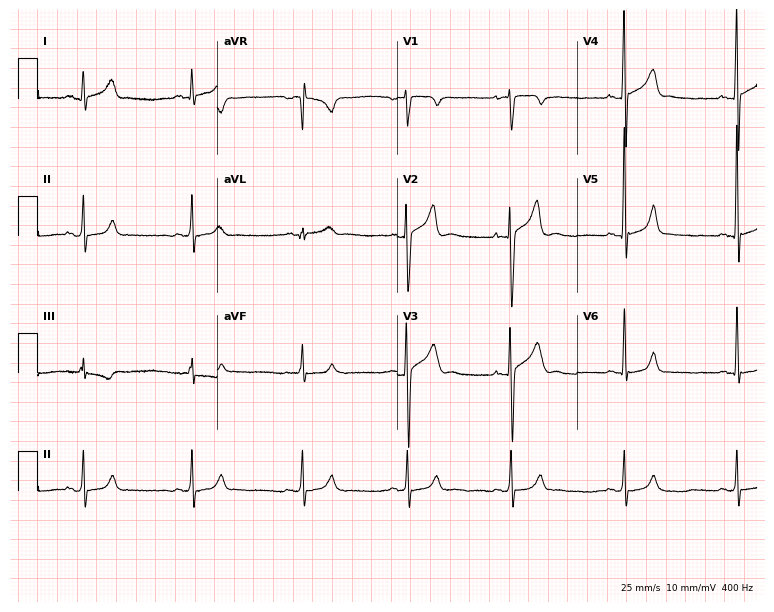
12-lead ECG from a 28-year-old man. No first-degree AV block, right bundle branch block (RBBB), left bundle branch block (LBBB), sinus bradycardia, atrial fibrillation (AF) or sinus tachycardia recorded for this tracing.